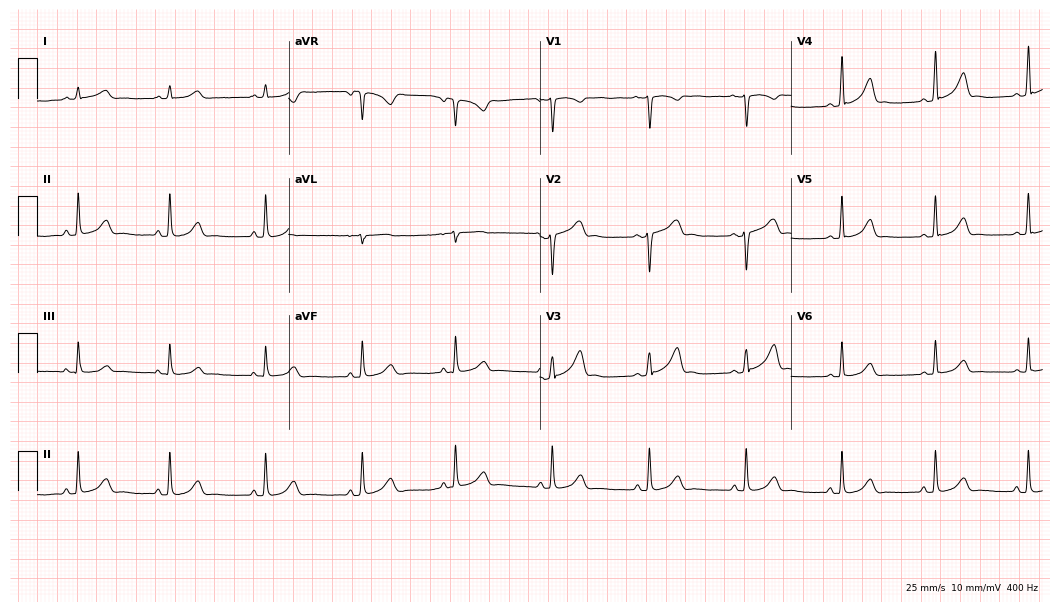
ECG — a woman, 23 years old. Screened for six findings — first-degree AV block, right bundle branch block (RBBB), left bundle branch block (LBBB), sinus bradycardia, atrial fibrillation (AF), sinus tachycardia — none is recorded.